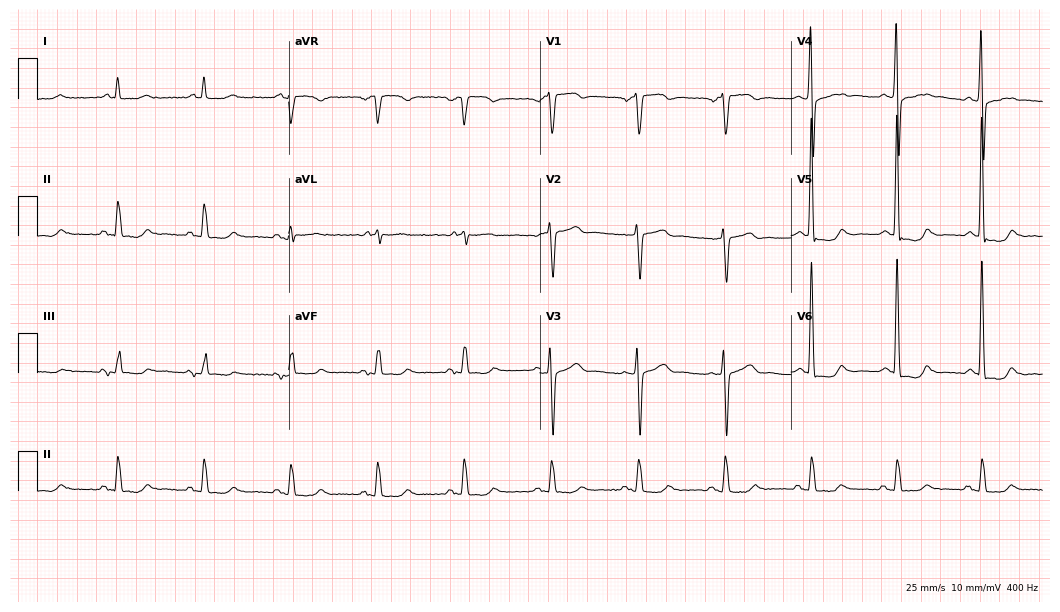
12-lead ECG (10.2-second recording at 400 Hz) from a 79-year-old male. Screened for six findings — first-degree AV block, right bundle branch block, left bundle branch block, sinus bradycardia, atrial fibrillation, sinus tachycardia — none is recorded. Only these six findings were labelled.